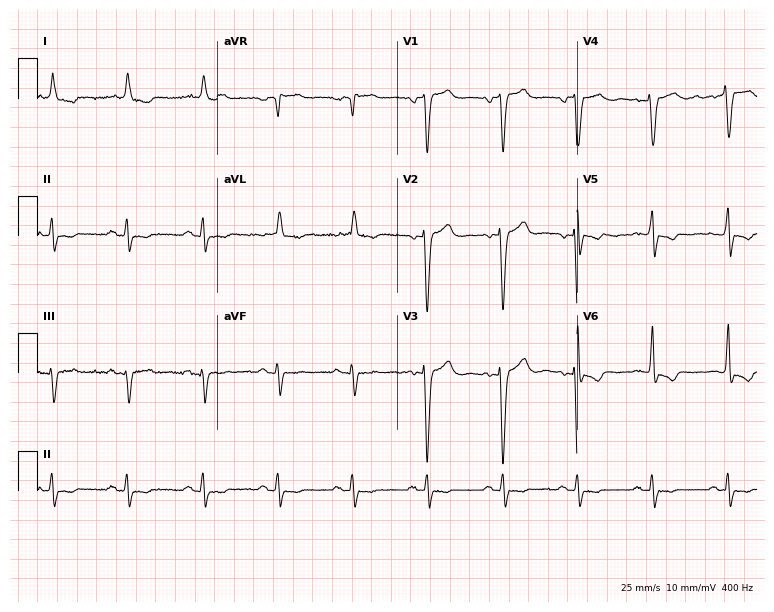
Standard 12-lead ECG recorded from a male patient, 67 years old. None of these six findings is recorded: first-degree AV block, right bundle branch block, left bundle branch block, sinus bradycardia, atrial fibrillation, sinus tachycardia.